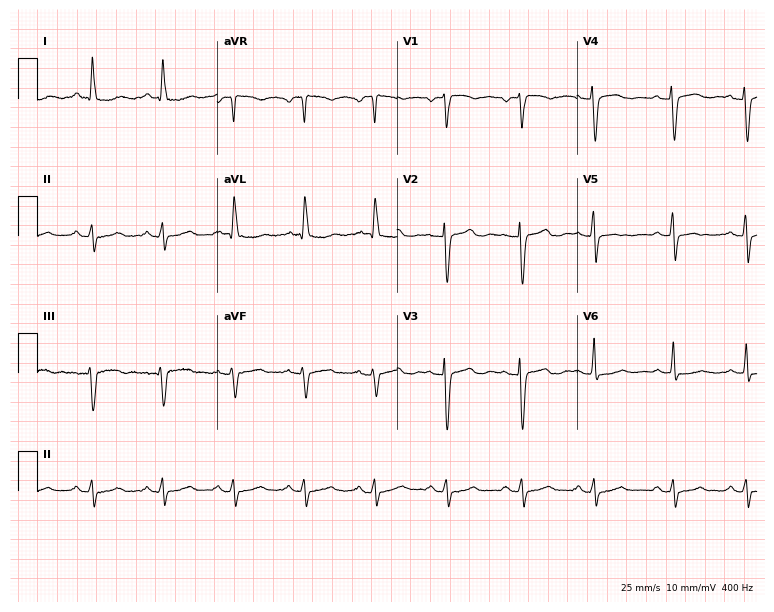
Standard 12-lead ECG recorded from a female patient, 63 years old. None of these six findings is recorded: first-degree AV block, right bundle branch block, left bundle branch block, sinus bradycardia, atrial fibrillation, sinus tachycardia. Other findings, if any, are not listed.